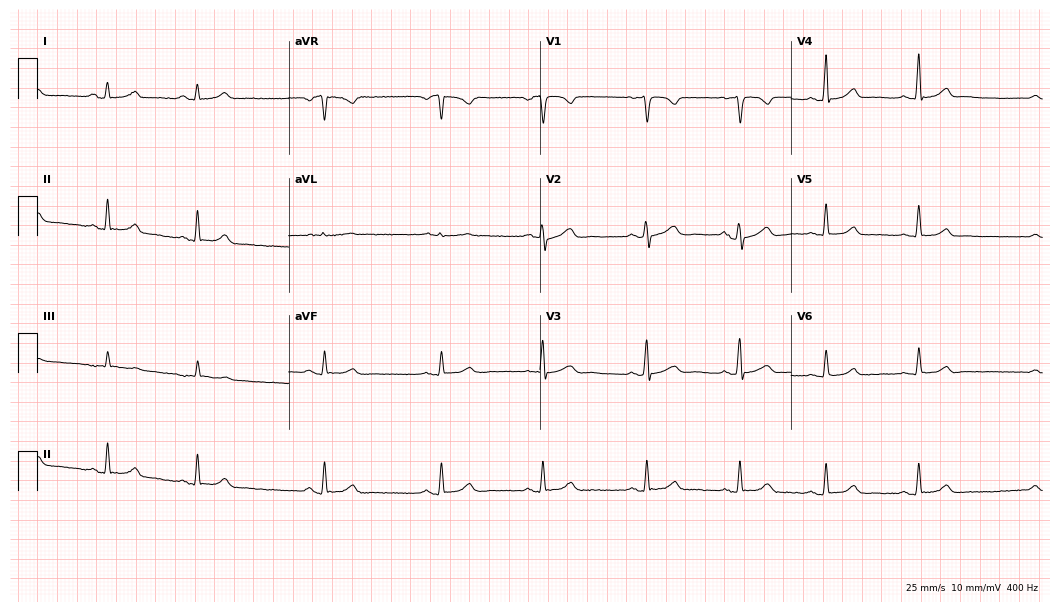
12-lead ECG from a 29-year-old woman. Screened for six findings — first-degree AV block, right bundle branch block, left bundle branch block, sinus bradycardia, atrial fibrillation, sinus tachycardia — none is recorded. Findings outside these six are not listed.